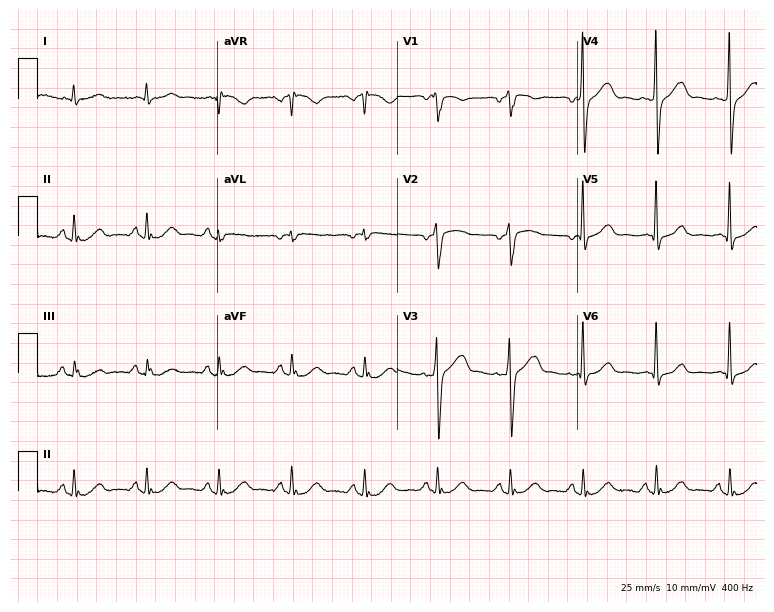
ECG (7.3-second recording at 400 Hz) — a 76-year-old man. Labelled as a normal ECG.